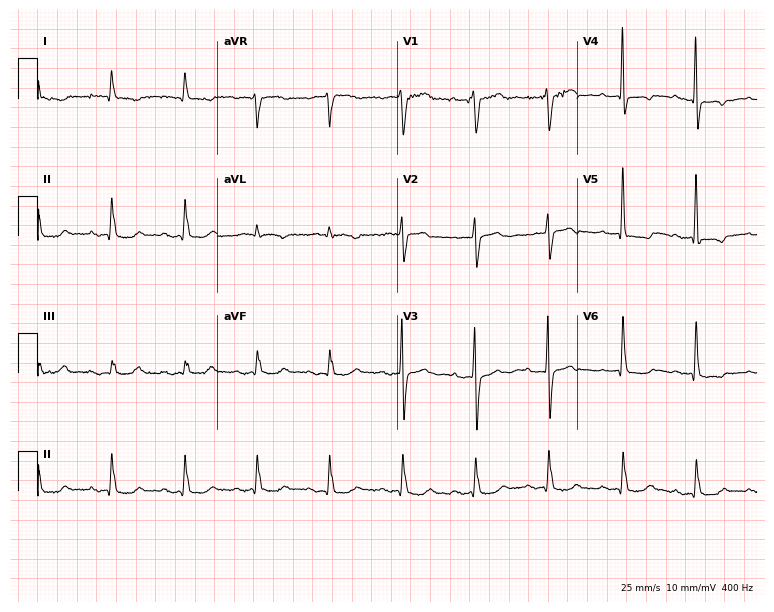
12-lead ECG from an 80-year-old male. Screened for six findings — first-degree AV block, right bundle branch block, left bundle branch block, sinus bradycardia, atrial fibrillation, sinus tachycardia — none is recorded. Other findings, if any, are not listed.